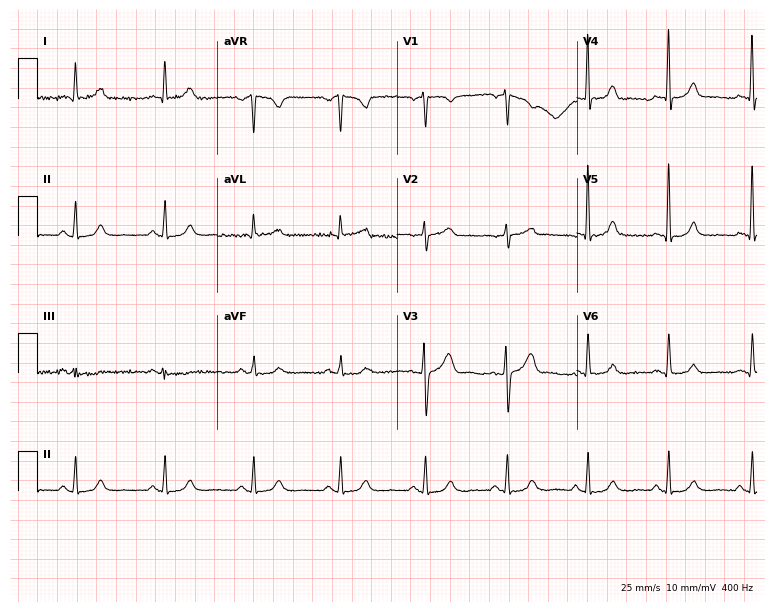
ECG (7.3-second recording at 400 Hz) — a woman, 56 years old. Labelled as a normal ECG.